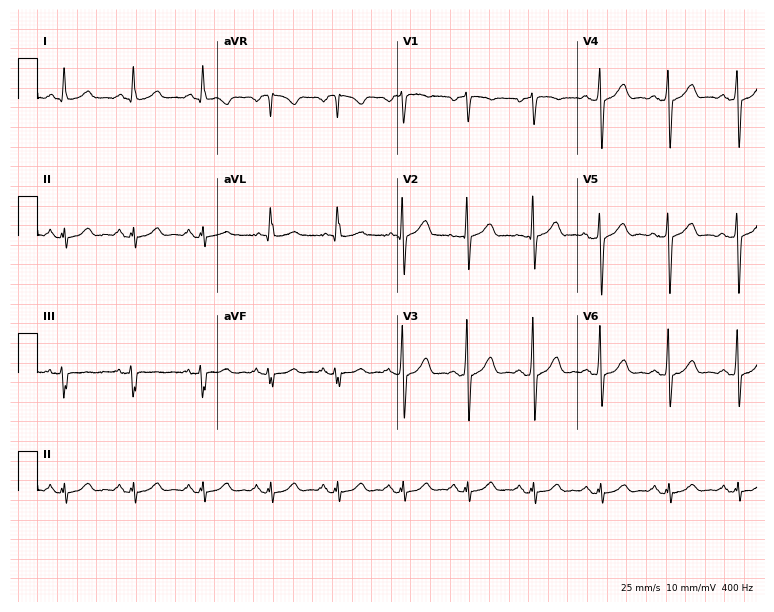
Standard 12-lead ECG recorded from a 69-year-old male. Read as a normal ECG.